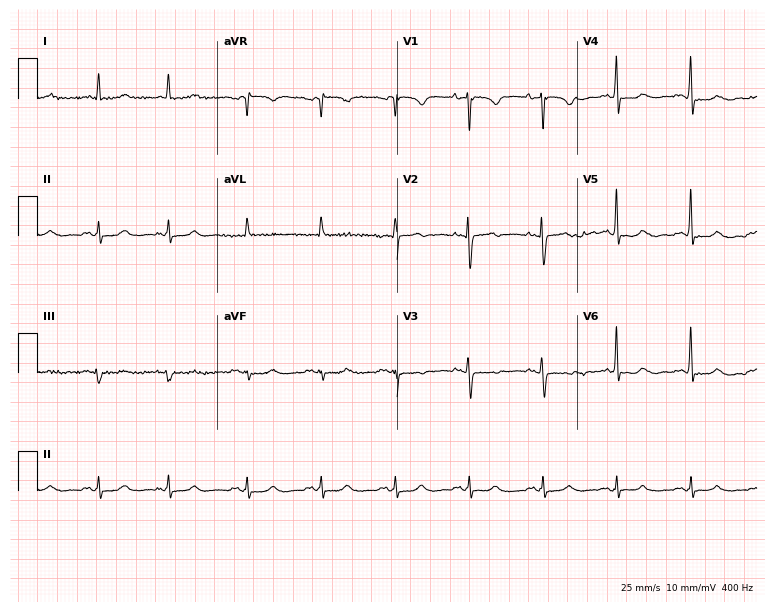
12-lead ECG from a woman, 85 years old. No first-degree AV block, right bundle branch block, left bundle branch block, sinus bradycardia, atrial fibrillation or sinus tachycardia recorded for this tracing. Other findings, if any, are not listed.